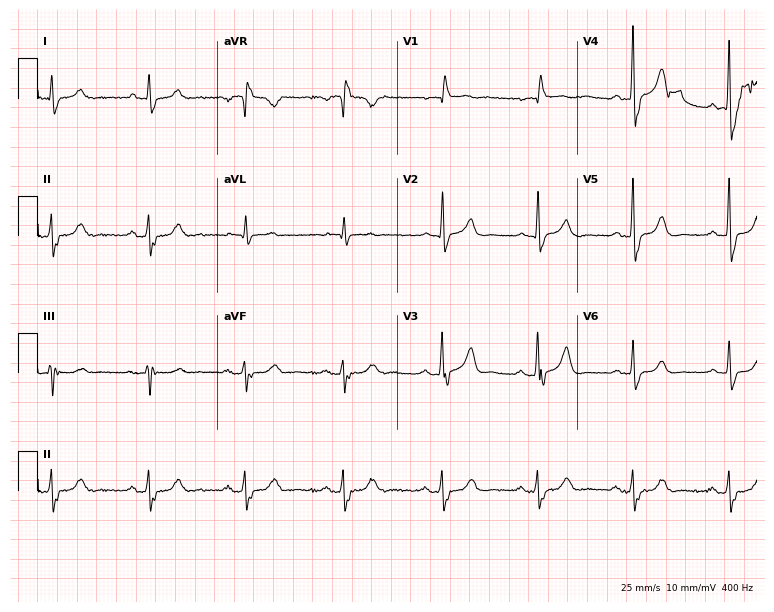
12-lead ECG (7.3-second recording at 400 Hz) from a male, 84 years old. Findings include right bundle branch block.